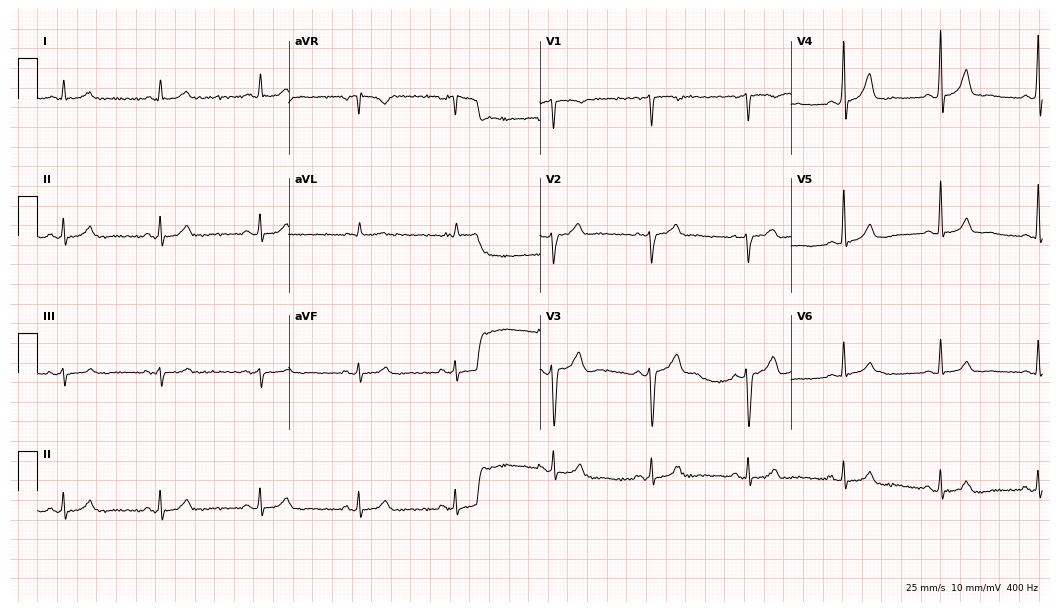
12-lead ECG from a man, 61 years old (10.2-second recording at 400 Hz). Recorded interpretation: within normal limits.